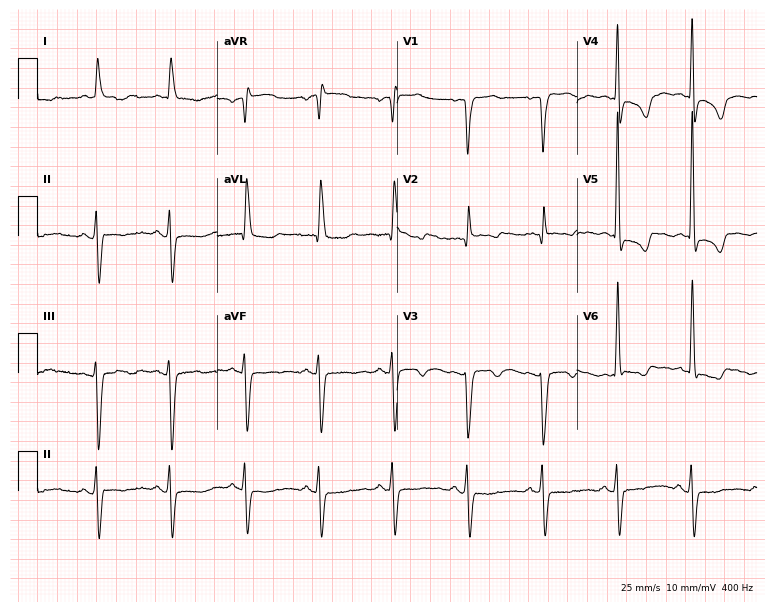
12-lead ECG from a female, 79 years old. No first-degree AV block, right bundle branch block, left bundle branch block, sinus bradycardia, atrial fibrillation or sinus tachycardia recorded for this tracing. Findings outside these six are not listed.